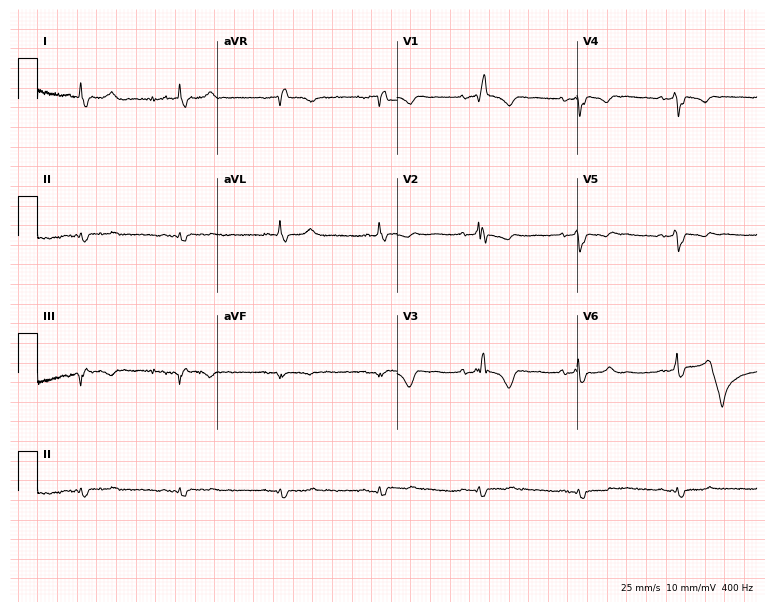
Electrocardiogram, a 48-year-old male. Interpretation includes right bundle branch block.